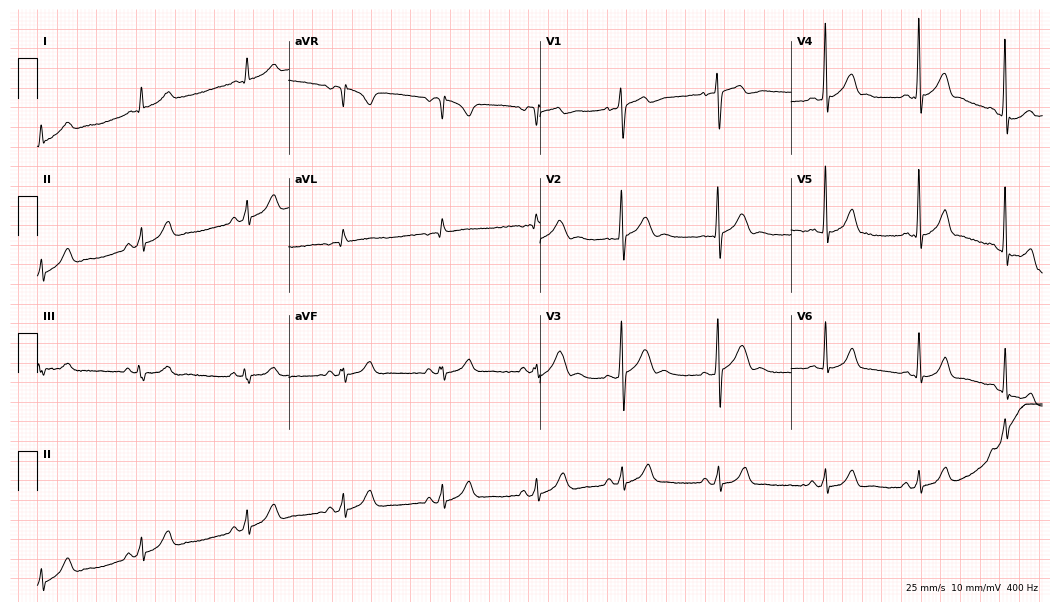
Standard 12-lead ECG recorded from a male, 19 years old (10.2-second recording at 400 Hz). None of these six findings is recorded: first-degree AV block, right bundle branch block, left bundle branch block, sinus bradycardia, atrial fibrillation, sinus tachycardia. Only these six findings were labelled.